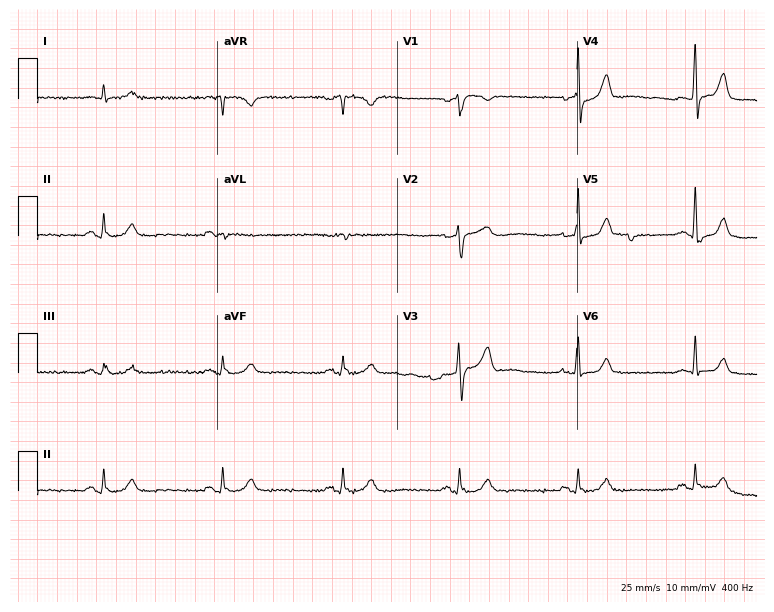
12-lead ECG from a 70-year-old male patient. Recorded interpretation: within normal limits.